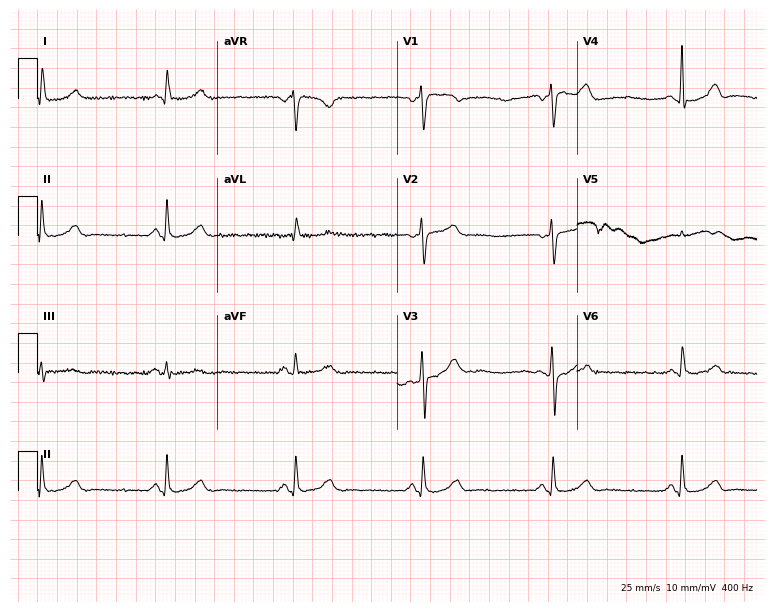
12-lead ECG from a 62-year-old woman (7.3-second recording at 400 Hz). Shows sinus bradycardia (a sinus rate of 50 beats per minute or less).